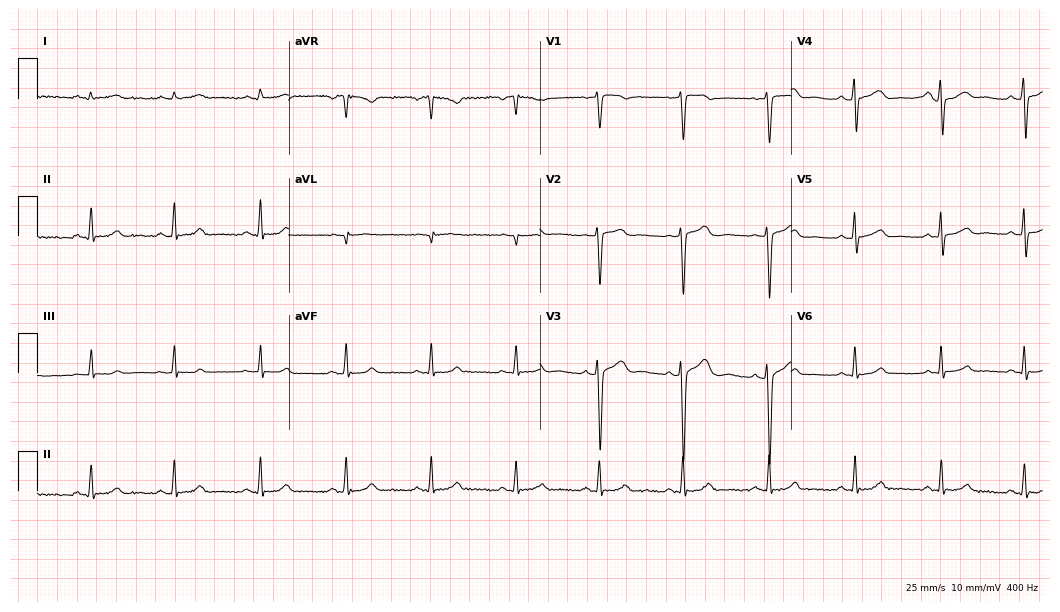
Standard 12-lead ECG recorded from a 50-year-old woman (10.2-second recording at 400 Hz). Read as a normal ECG.